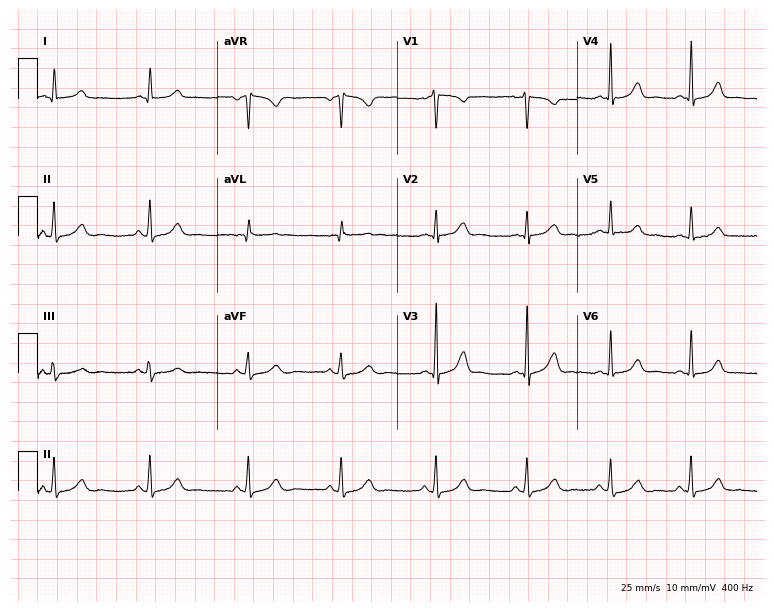
12-lead ECG from a 22-year-old female. Screened for six findings — first-degree AV block, right bundle branch block, left bundle branch block, sinus bradycardia, atrial fibrillation, sinus tachycardia — none is recorded.